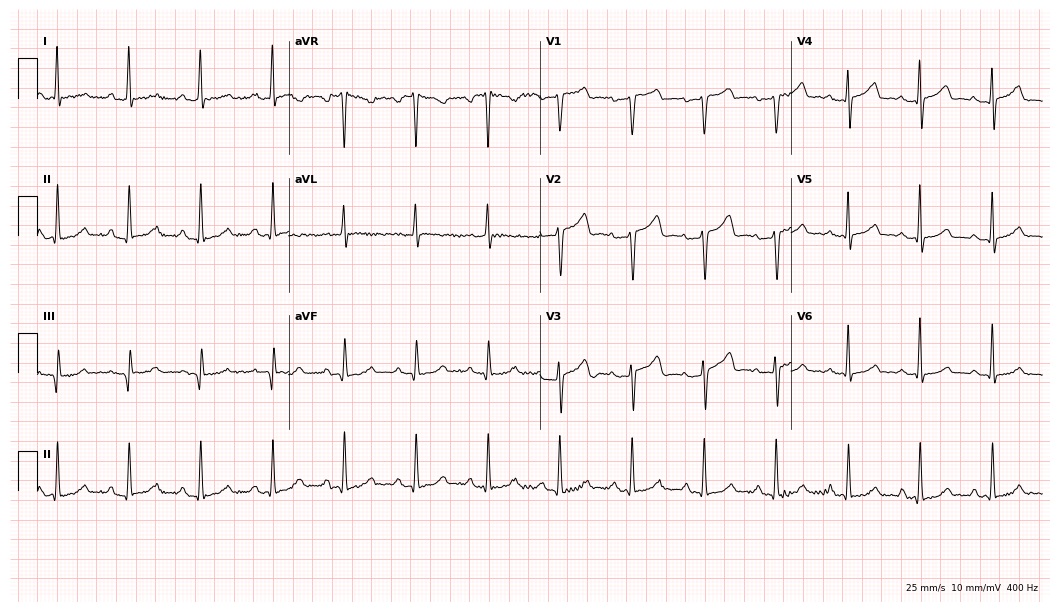
12-lead ECG from a female patient, 45 years old (10.2-second recording at 400 Hz). No first-degree AV block, right bundle branch block (RBBB), left bundle branch block (LBBB), sinus bradycardia, atrial fibrillation (AF) or sinus tachycardia recorded for this tracing.